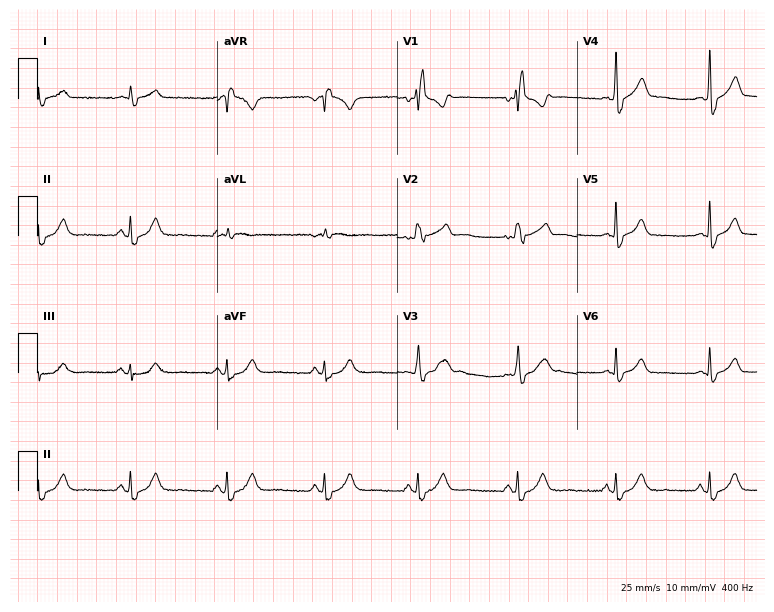
Electrocardiogram (7.3-second recording at 400 Hz), a male, 58 years old. Of the six screened findings (first-degree AV block, right bundle branch block, left bundle branch block, sinus bradycardia, atrial fibrillation, sinus tachycardia), none is recorded. Other findings, if any, are not listed.